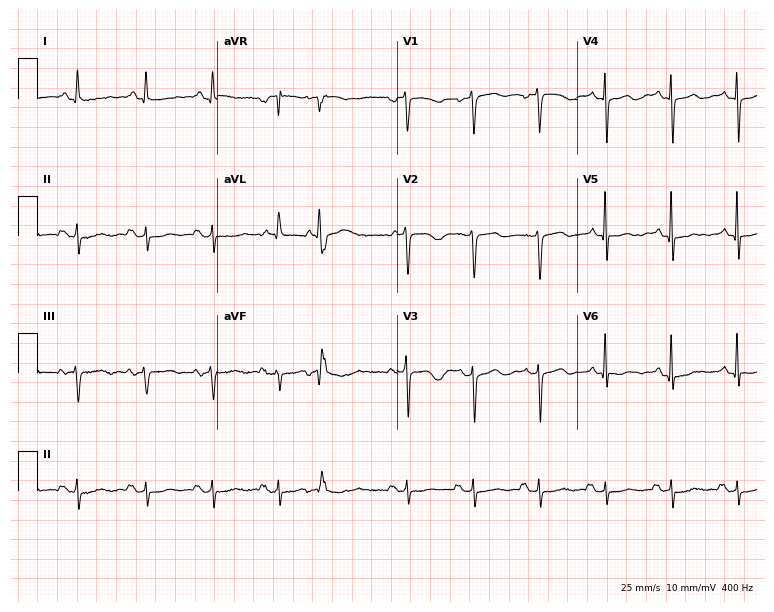
12-lead ECG from an 82-year-old female patient (7.3-second recording at 400 Hz). No first-degree AV block, right bundle branch block, left bundle branch block, sinus bradycardia, atrial fibrillation or sinus tachycardia recorded for this tracing.